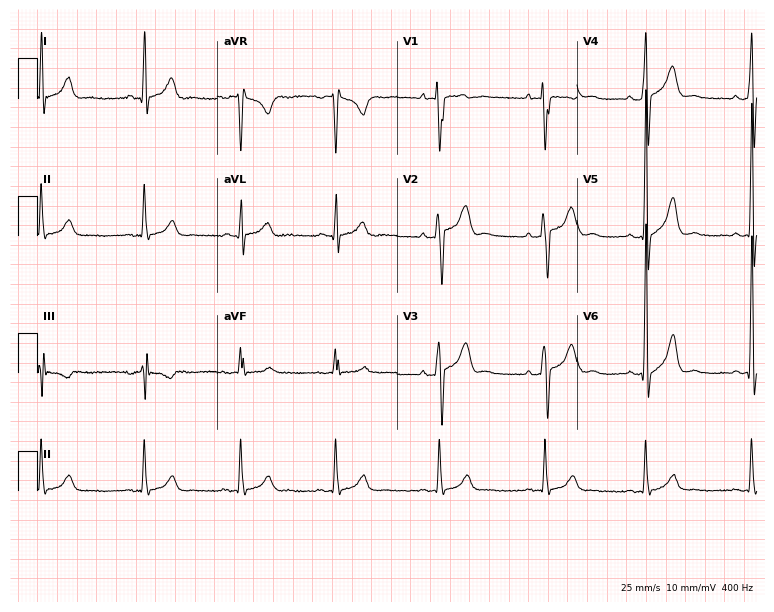
12-lead ECG from a man, 45 years old. No first-degree AV block, right bundle branch block, left bundle branch block, sinus bradycardia, atrial fibrillation or sinus tachycardia recorded for this tracing.